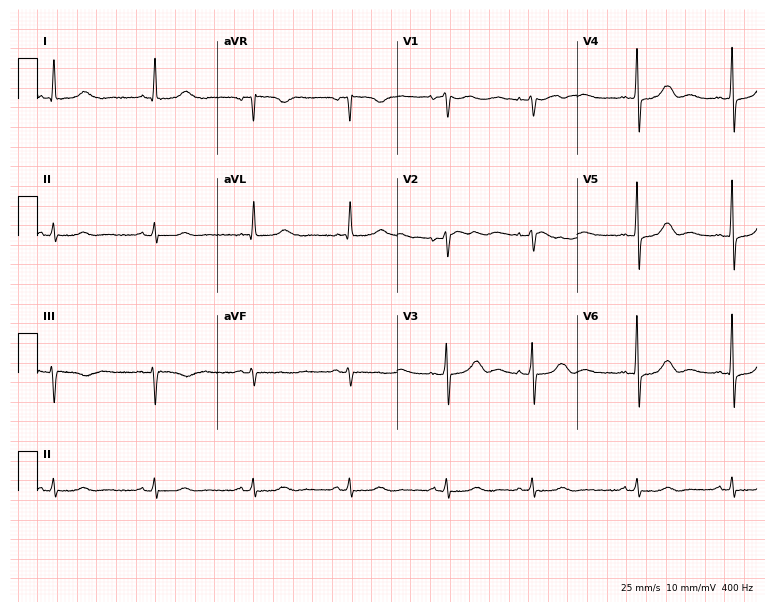
Electrocardiogram (7.3-second recording at 400 Hz), a man, 85 years old. Of the six screened findings (first-degree AV block, right bundle branch block, left bundle branch block, sinus bradycardia, atrial fibrillation, sinus tachycardia), none is recorded. Only these six findings were labelled.